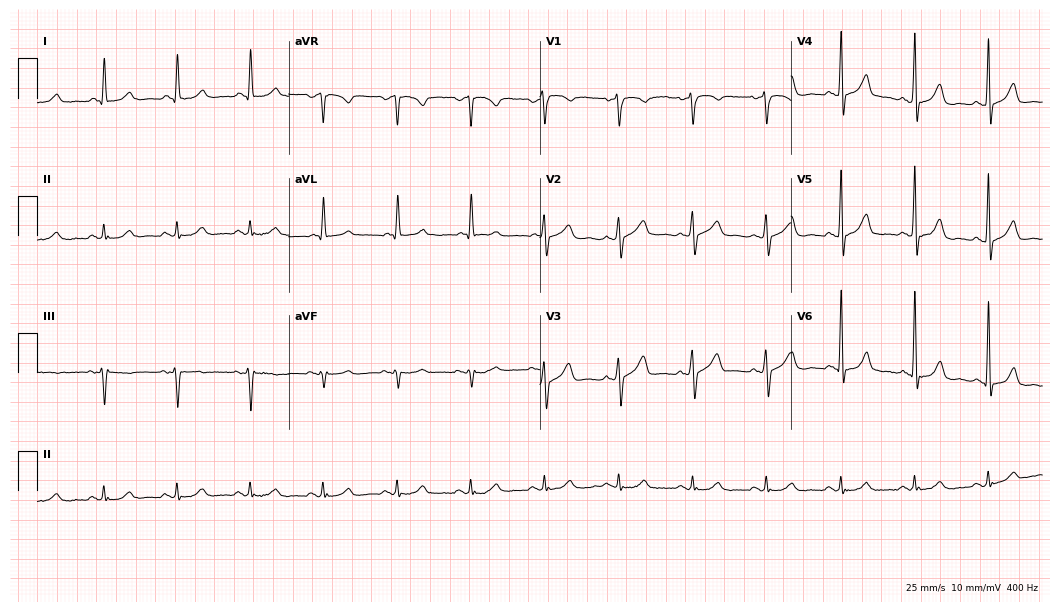
Resting 12-lead electrocardiogram. Patient: a male, 67 years old. None of these six findings is recorded: first-degree AV block, right bundle branch block, left bundle branch block, sinus bradycardia, atrial fibrillation, sinus tachycardia.